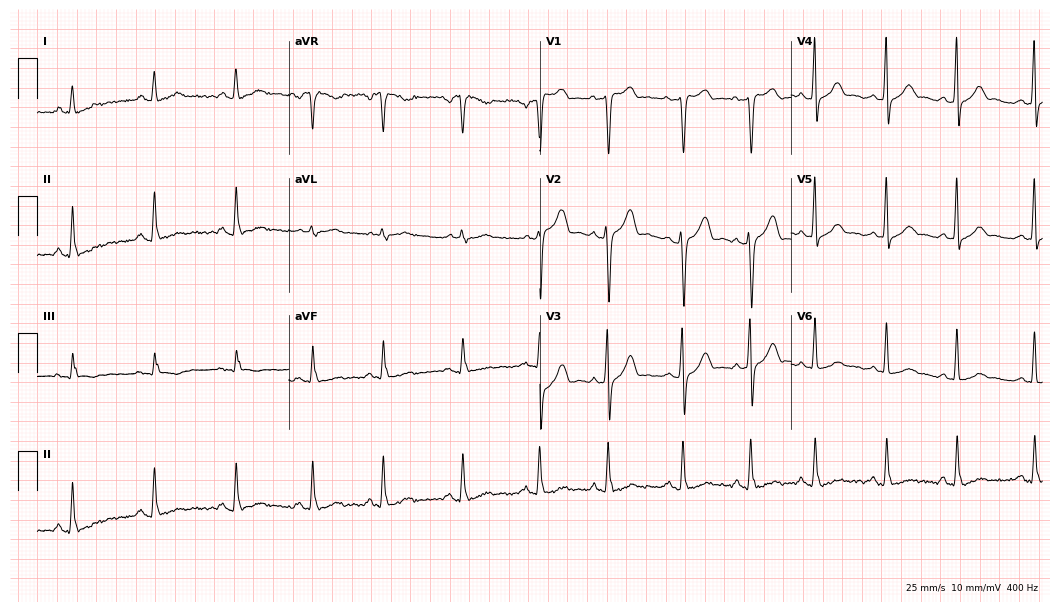
Resting 12-lead electrocardiogram (10.2-second recording at 400 Hz). Patient: a female, 29 years old. Read as a normal ECG.